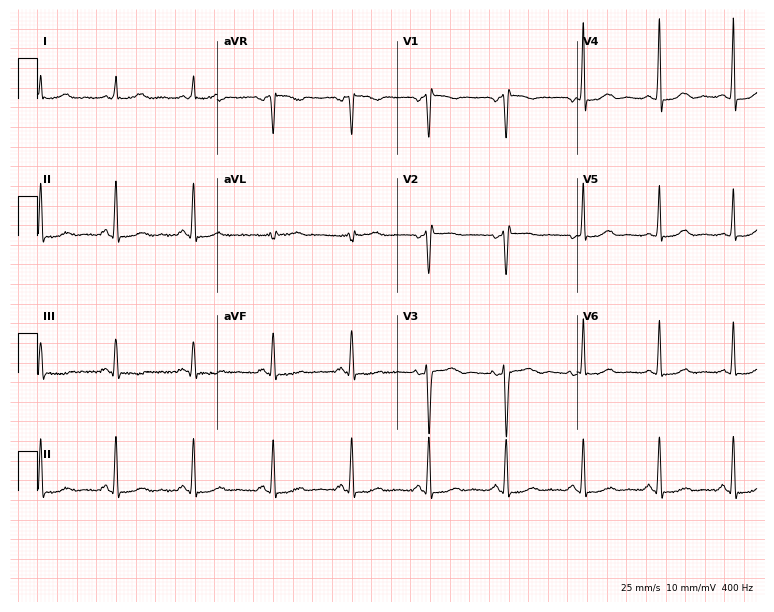
ECG — a 53-year-old female patient. Screened for six findings — first-degree AV block, right bundle branch block, left bundle branch block, sinus bradycardia, atrial fibrillation, sinus tachycardia — none is recorded.